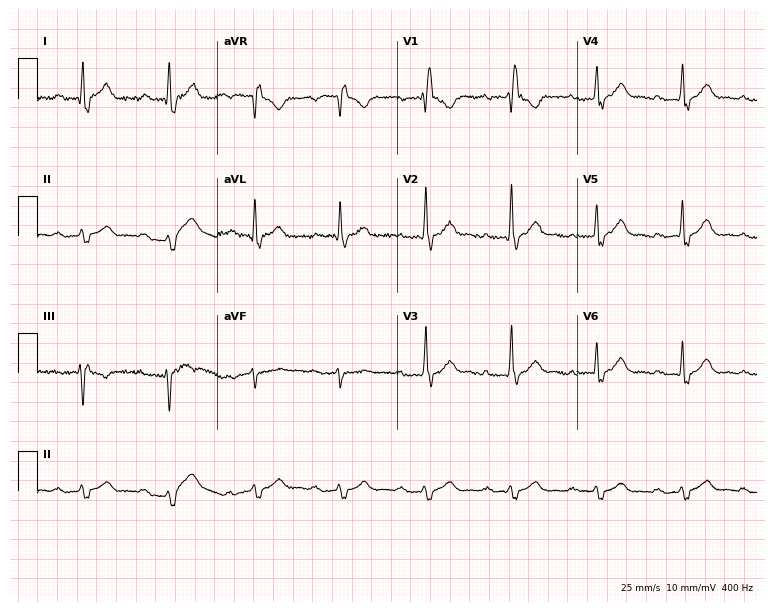
Electrocardiogram (7.3-second recording at 400 Hz), a man, 63 years old. Interpretation includes first-degree AV block, right bundle branch block (RBBB).